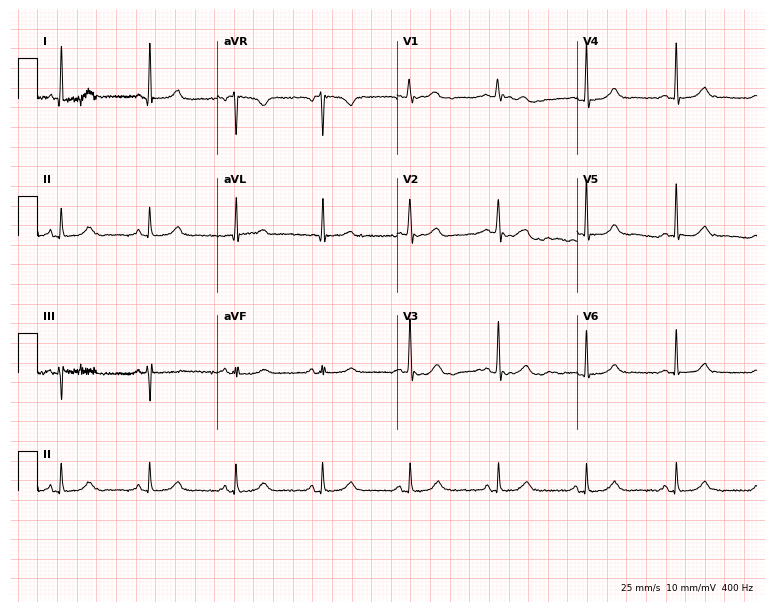
ECG — a 55-year-old female. Labelled as a normal ECG.